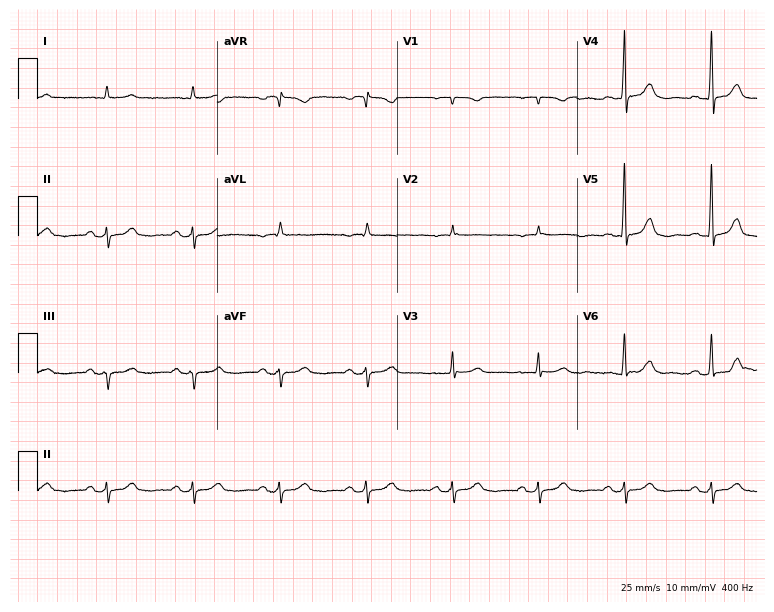
Electrocardiogram, an 83-year-old male patient. Overall reading on record: normal ECG.